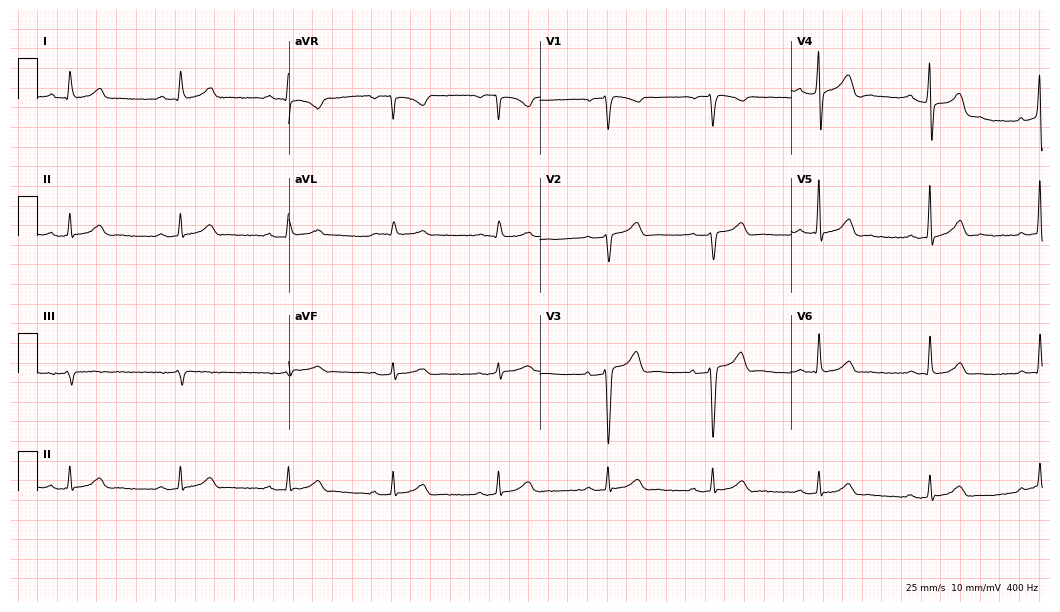
12-lead ECG from a 52-year-old male patient (10.2-second recording at 400 Hz). Recorded interpretation: within normal limits.